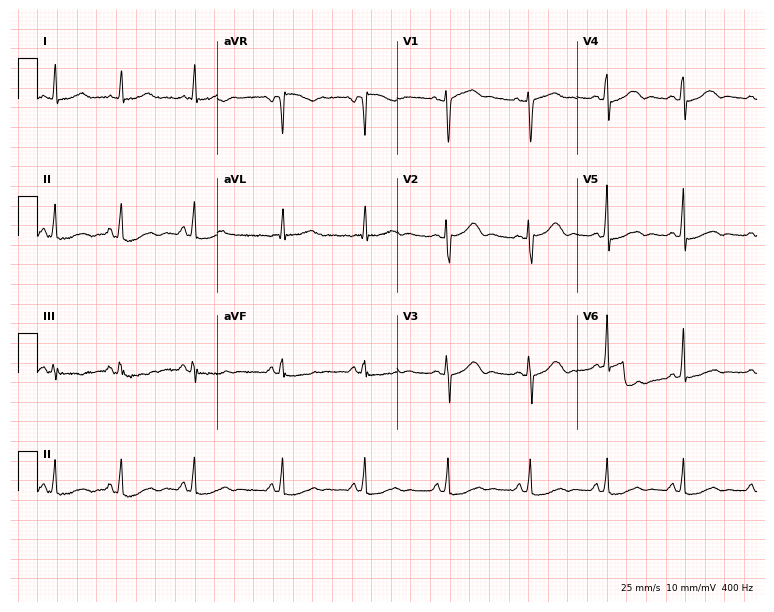
Resting 12-lead electrocardiogram. Patient: a 42-year-old woman. None of these six findings is recorded: first-degree AV block, right bundle branch block, left bundle branch block, sinus bradycardia, atrial fibrillation, sinus tachycardia.